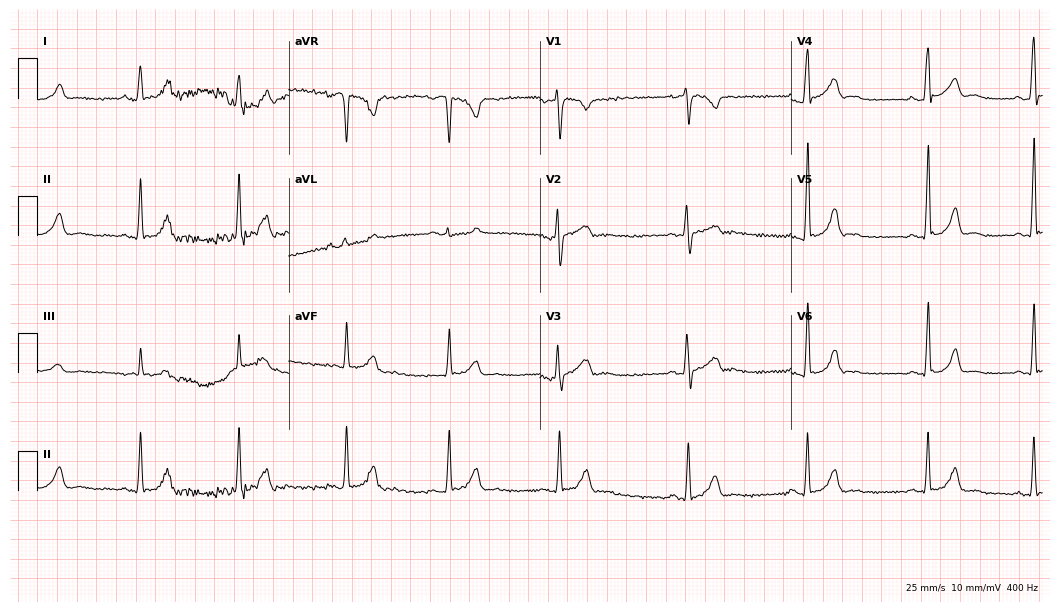
12-lead ECG from a 17-year-old female. Labelled as a normal ECG.